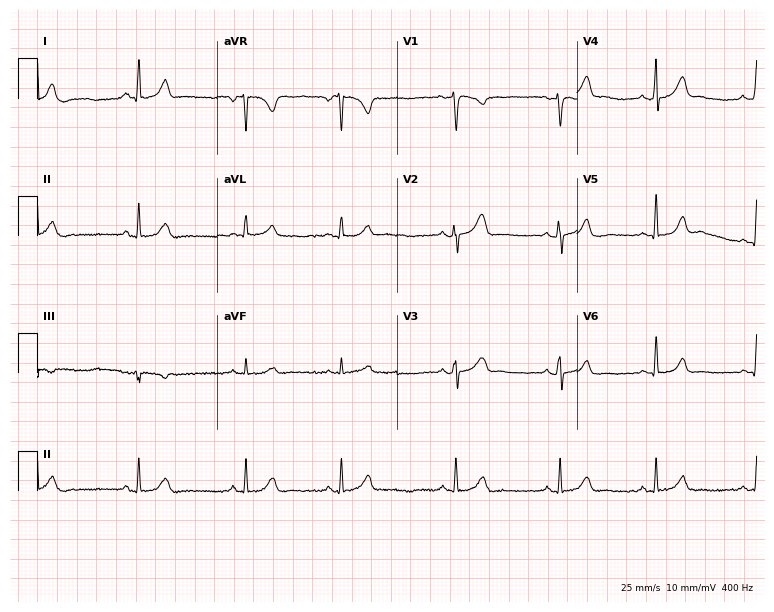
Electrocardiogram (7.3-second recording at 400 Hz), a 21-year-old female patient. Overall reading on record: normal ECG.